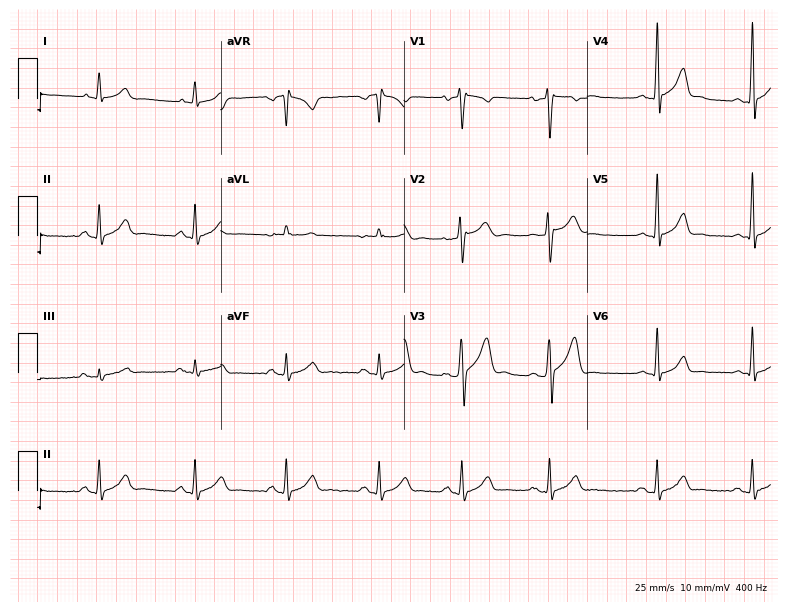
12-lead ECG from a 33-year-old male patient. Screened for six findings — first-degree AV block, right bundle branch block, left bundle branch block, sinus bradycardia, atrial fibrillation, sinus tachycardia — none is recorded.